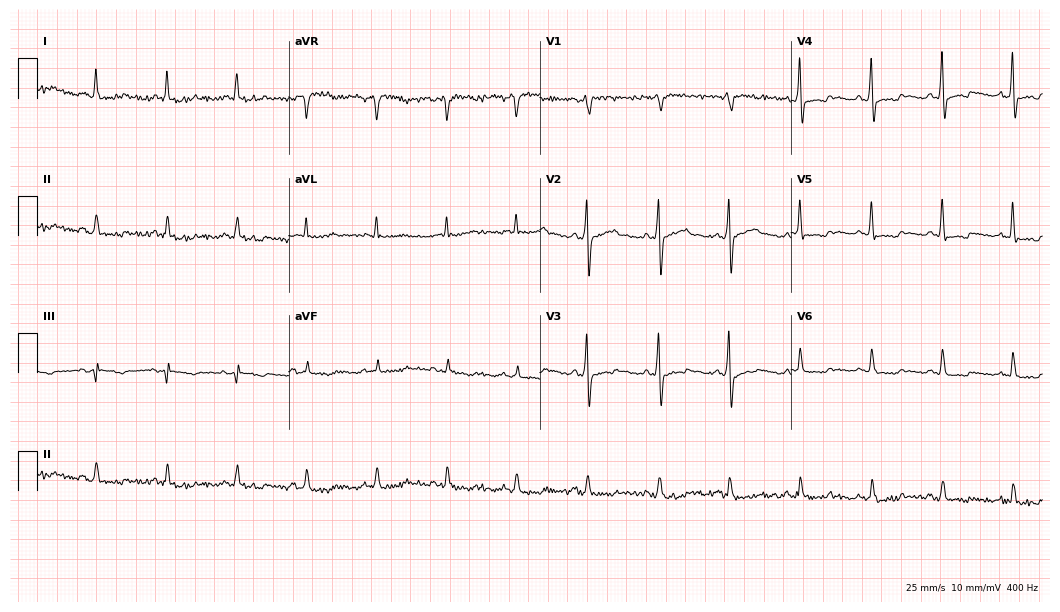
Standard 12-lead ECG recorded from a 74-year-old male patient. Read as a normal ECG.